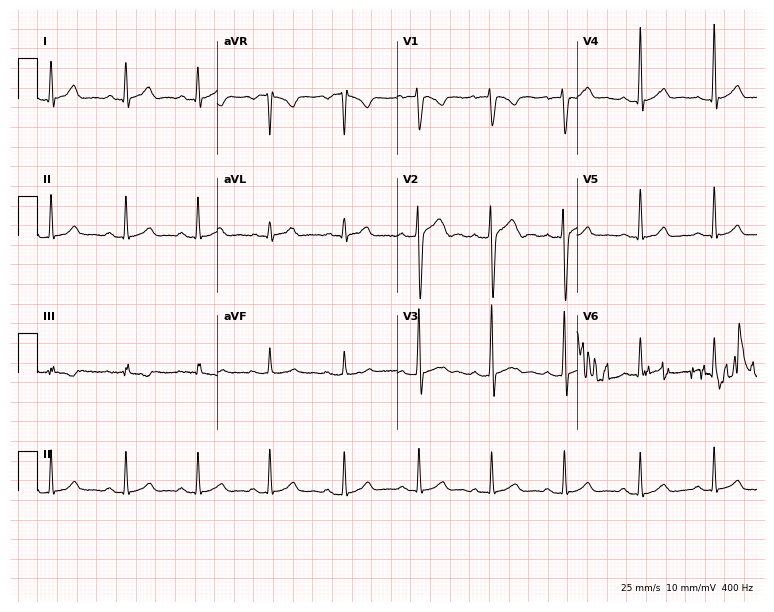
ECG — a male, 23 years old. Labelled as a normal ECG.